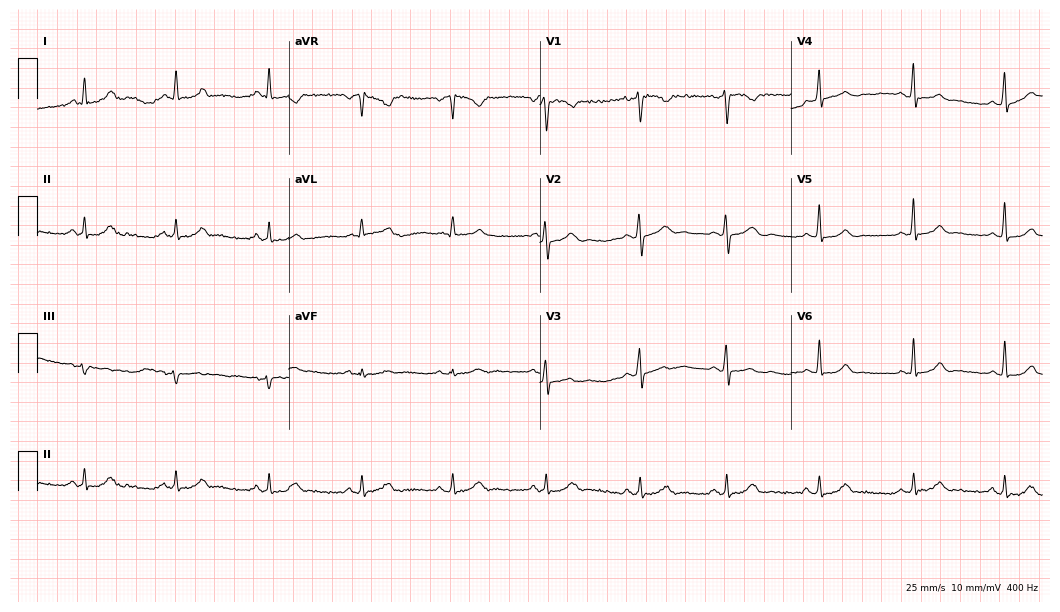
Resting 12-lead electrocardiogram (10.2-second recording at 400 Hz). Patient: a female, 37 years old. Read as a normal ECG.